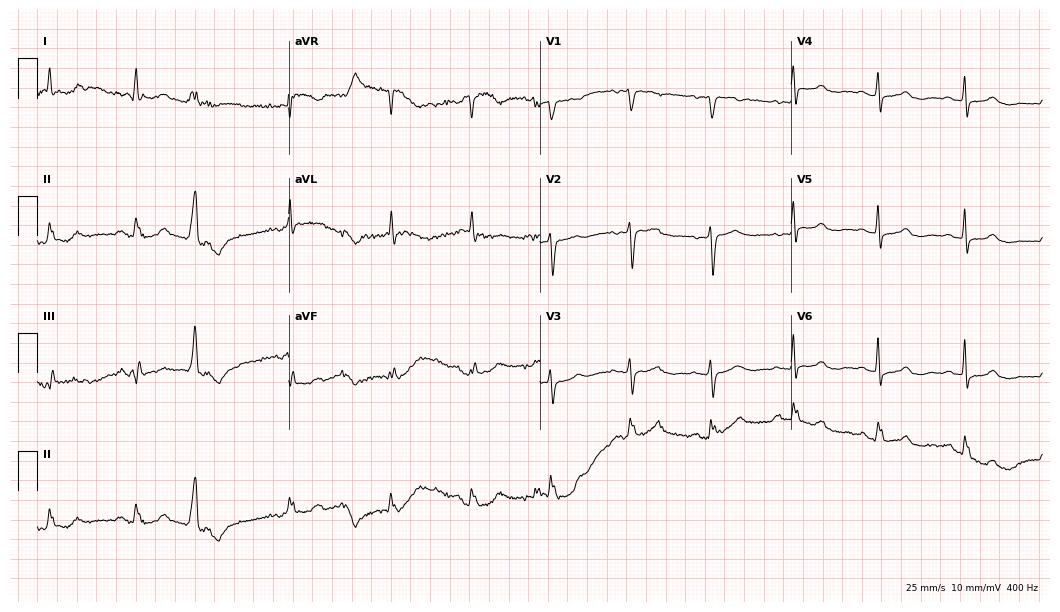
Resting 12-lead electrocardiogram (10.2-second recording at 400 Hz). Patient: a female, 75 years old. Read as a normal ECG.